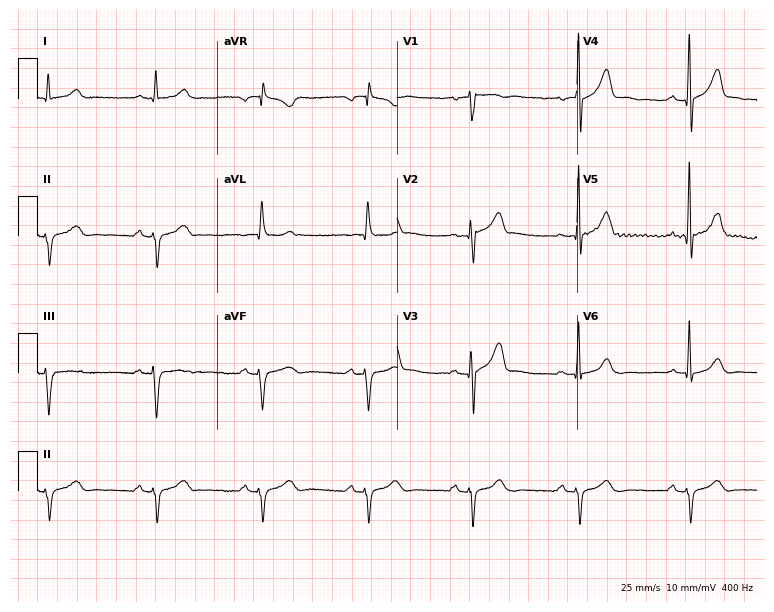
ECG — a 60-year-old man. Screened for six findings — first-degree AV block, right bundle branch block, left bundle branch block, sinus bradycardia, atrial fibrillation, sinus tachycardia — none is recorded. Other findings, if any, are not listed.